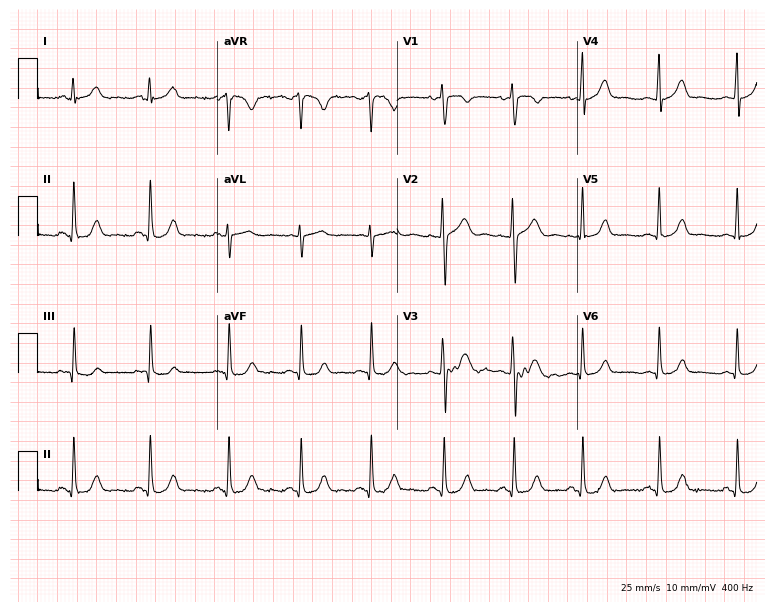
Electrocardiogram, a female patient, 25 years old. Overall reading on record: normal ECG.